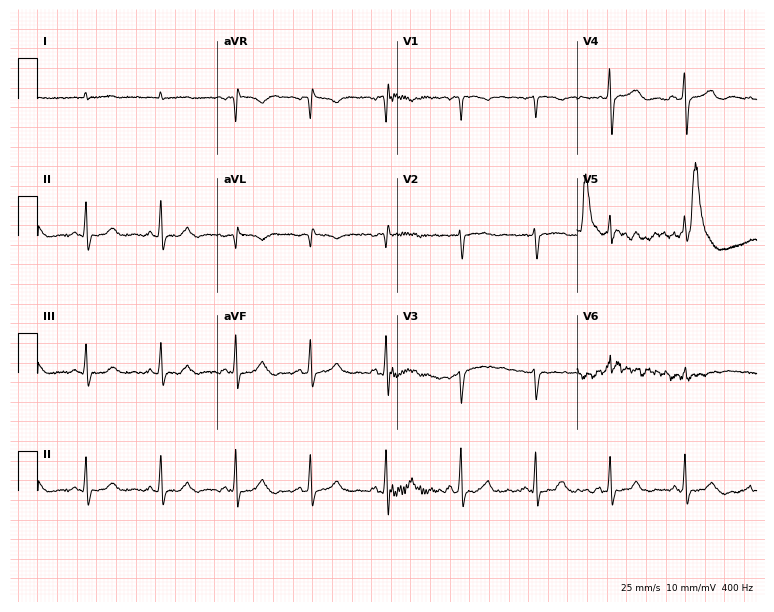
Standard 12-lead ECG recorded from a 57-year-old man (7.3-second recording at 400 Hz). None of these six findings is recorded: first-degree AV block, right bundle branch block (RBBB), left bundle branch block (LBBB), sinus bradycardia, atrial fibrillation (AF), sinus tachycardia.